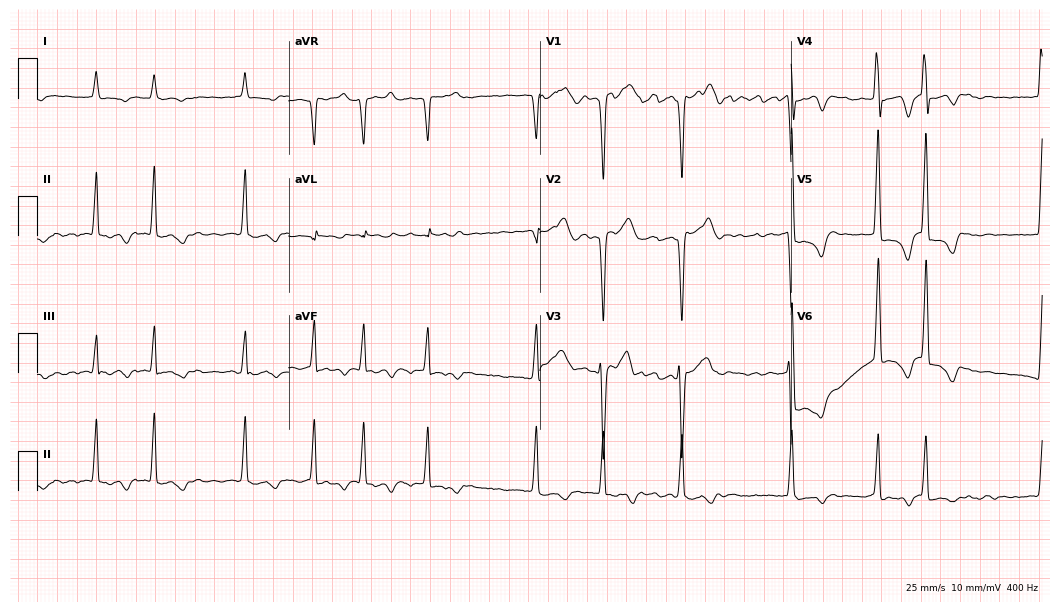
Resting 12-lead electrocardiogram (10.2-second recording at 400 Hz). Patient: a man, 60 years old. The tracing shows atrial fibrillation.